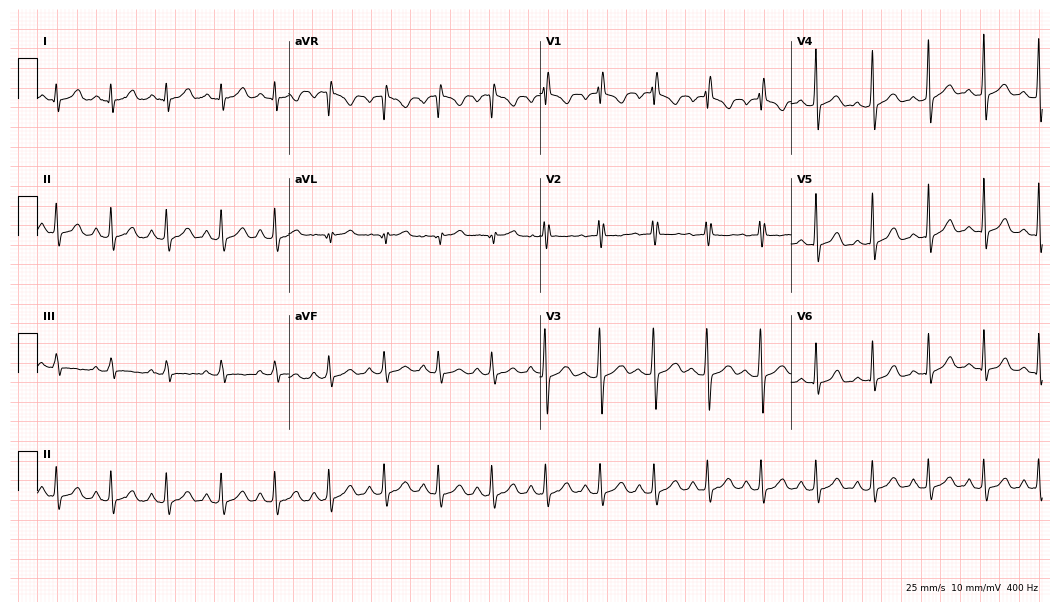
12-lead ECG from a female patient, 17 years old. Screened for six findings — first-degree AV block, right bundle branch block (RBBB), left bundle branch block (LBBB), sinus bradycardia, atrial fibrillation (AF), sinus tachycardia — none is recorded. Other findings, if any, are not listed.